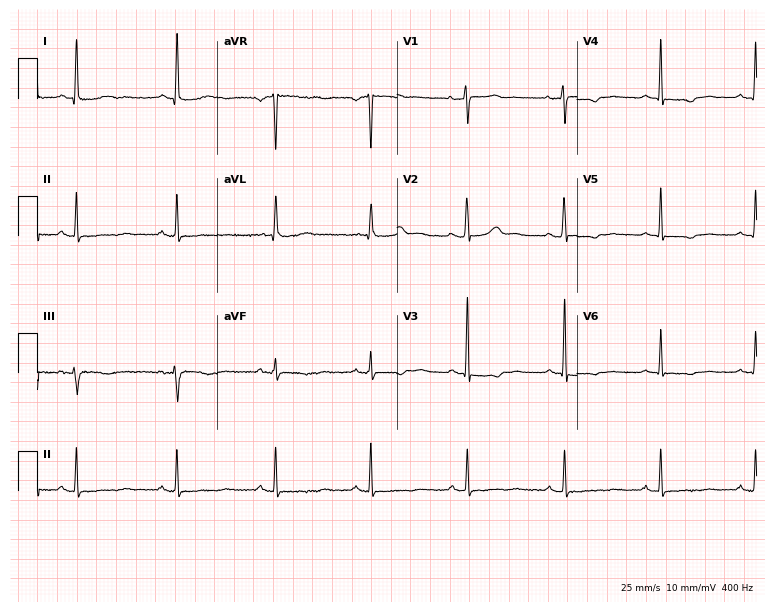
12-lead ECG from a female patient, 60 years old. Labelled as a normal ECG.